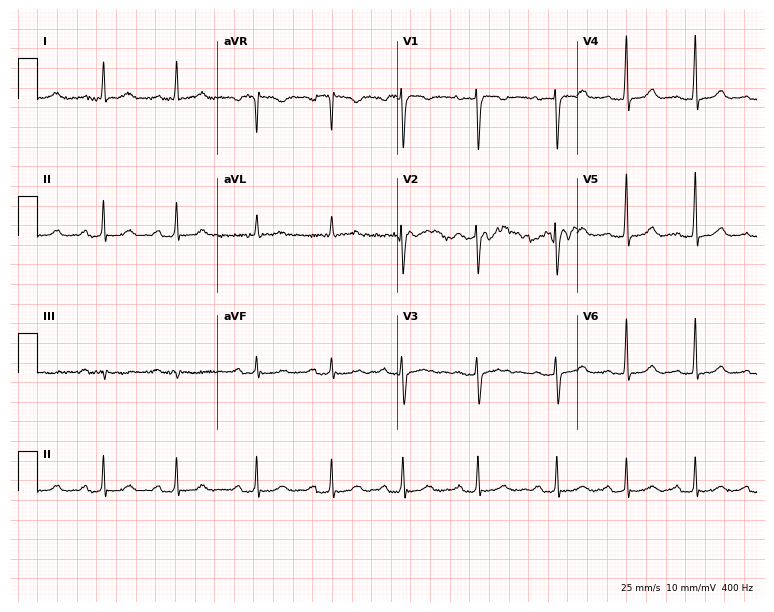
ECG — a 33-year-old female. Labelled as a normal ECG.